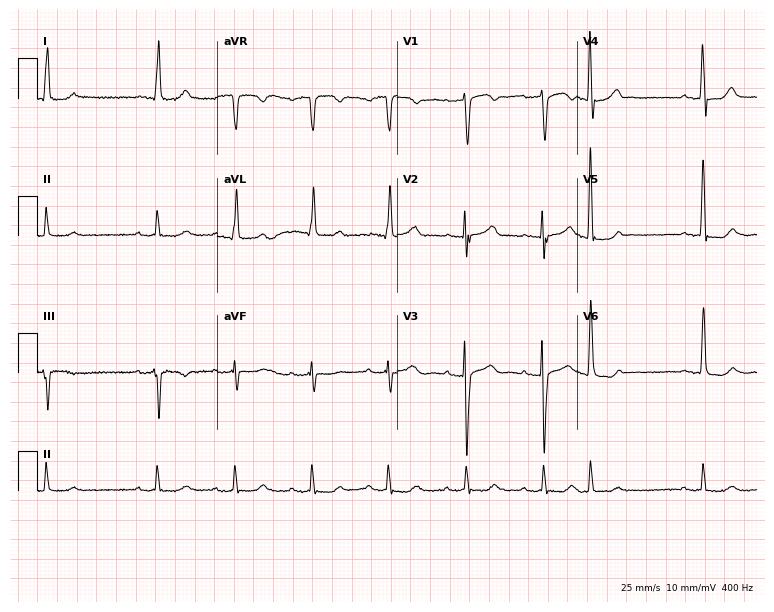
Resting 12-lead electrocardiogram. Patient: a 75-year-old woman. Read as a normal ECG.